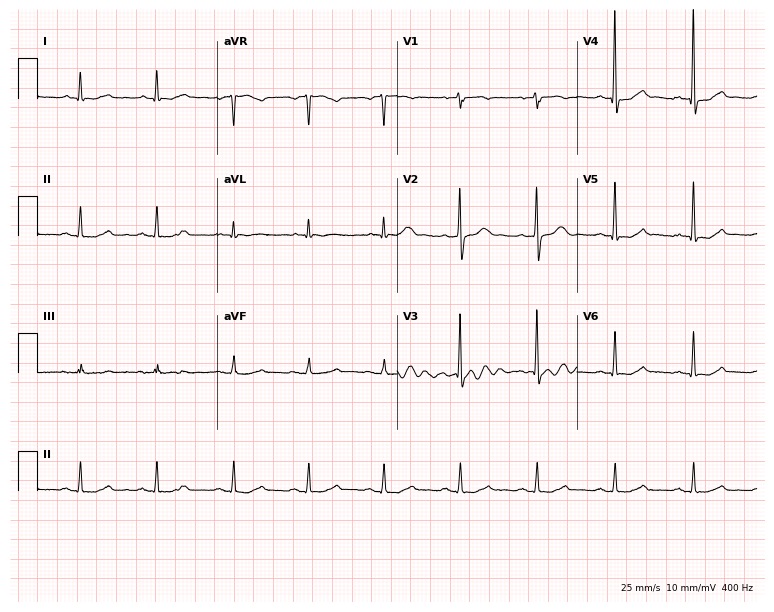
ECG — a male, 79 years old. Screened for six findings — first-degree AV block, right bundle branch block (RBBB), left bundle branch block (LBBB), sinus bradycardia, atrial fibrillation (AF), sinus tachycardia — none is recorded. Other findings, if any, are not listed.